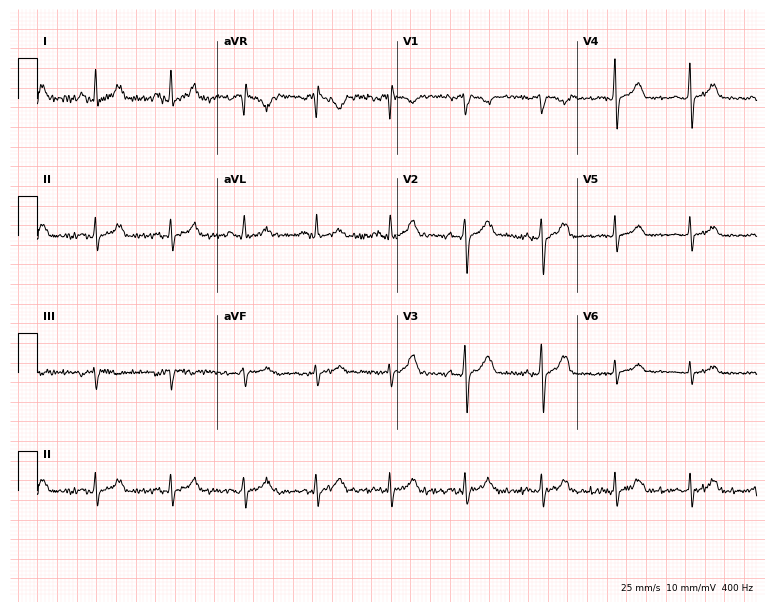
12-lead ECG from a female patient, 26 years old. Screened for six findings — first-degree AV block, right bundle branch block, left bundle branch block, sinus bradycardia, atrial fibrillation, sinus tachycardia — none is recorded. Other findings, if any, are not listed.